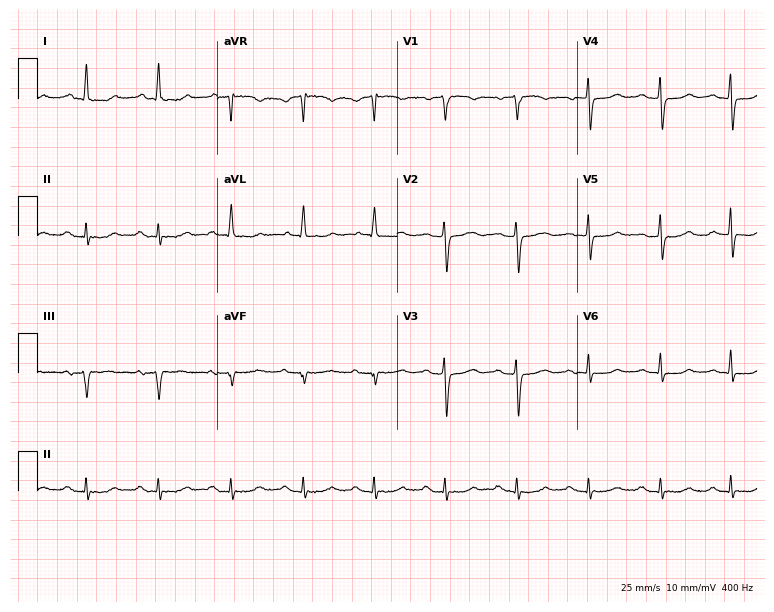
Resting 12-lead electrocardiogram (7.3-second recording at 400 Hz). Patient: a female, 66 years old. None of these six findings is recorded: first-degree AV block, right bundle branch block, left bundle branch block, sinus bradycardia, atrial fibrillation, sinus tachycardia.